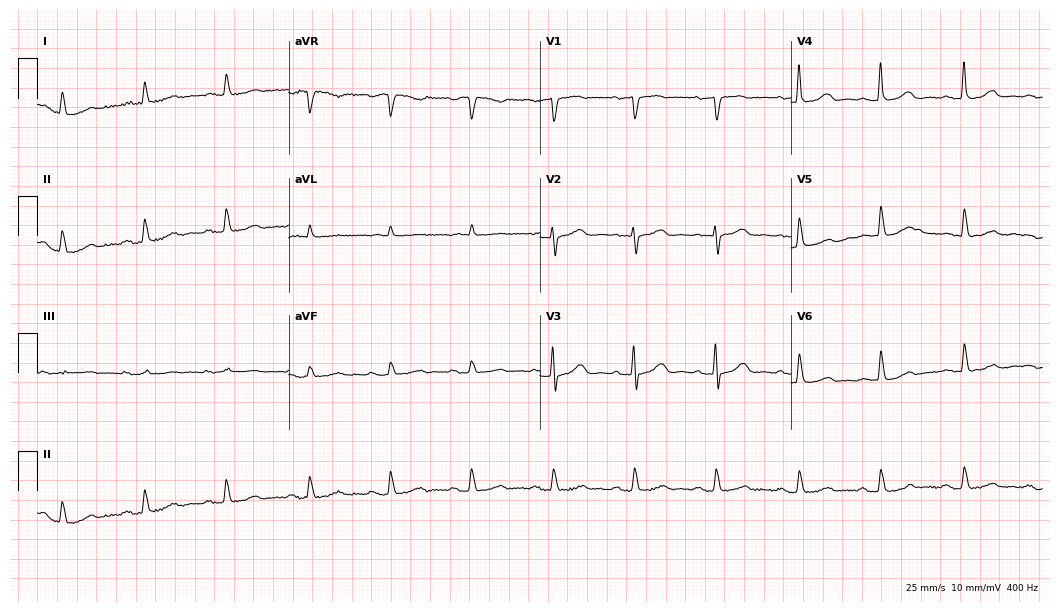
12-lead ECG from a female, 71 years old. No first-degree AV block, right bundle branch block, left bundle branch block, sinus bradycardia, atrial fibrillation or sinus tachycardia recorded for this tracing. Only these six findings were labelled.